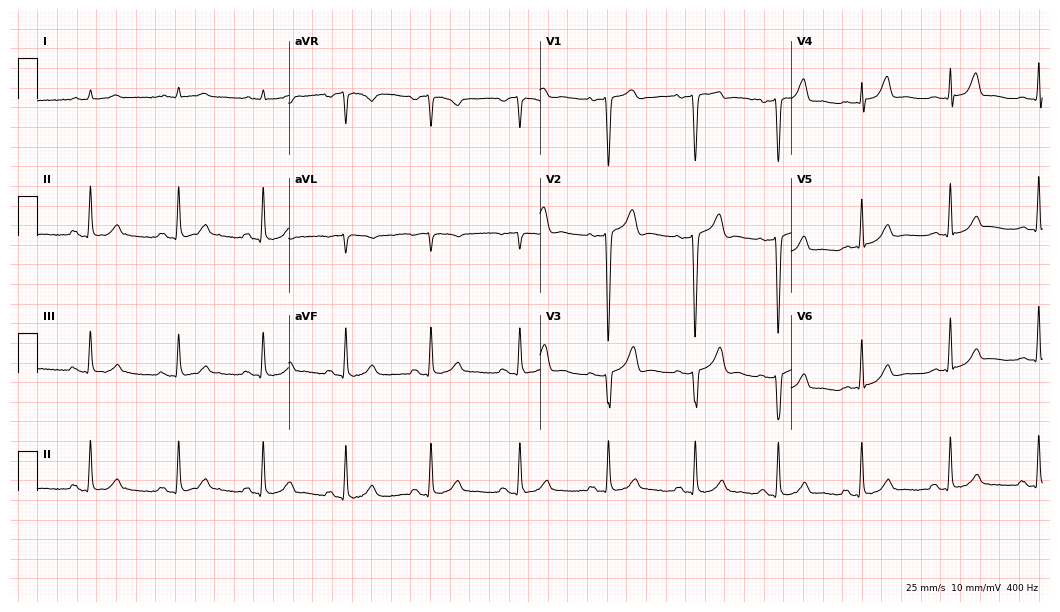
12-lead ECG from a 39-year-old man. Recorded interpretation: within normal limits.